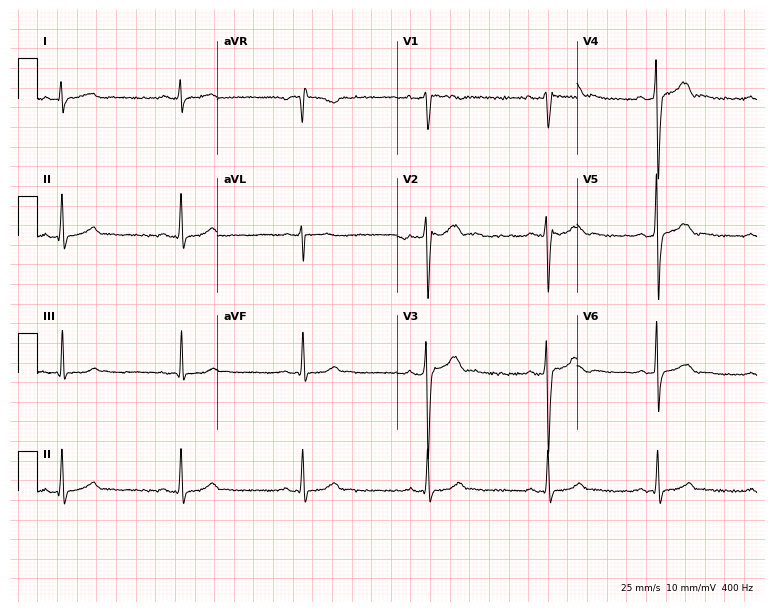
Electrocardiogram (7.3-second recording at 400 Hz), a man, 35 years old. Of the six screened findings (first-degree AV block, right bundle branch block, left bundle branch block, sinus bradycardia, atrial fibrillation, sinus tachycardia), none is recorded.